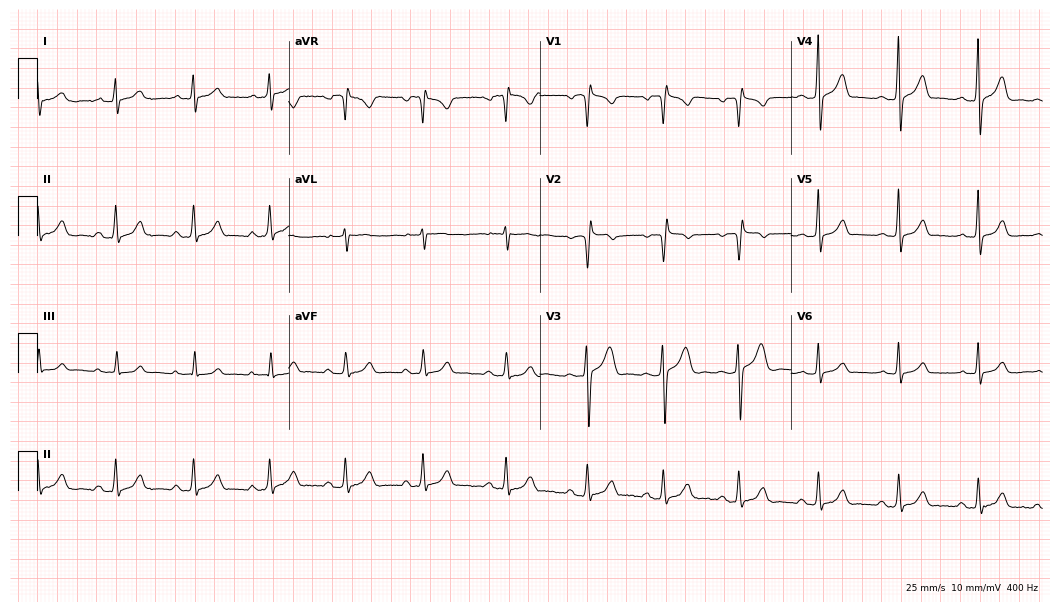
12-lead ECG from a 24-year-old man. No first-degree AV block, right bundle branch block, left bundle branch block, sinus bradycardia, atrial fibrillation or sinus tachycardia recorded for this tracing.